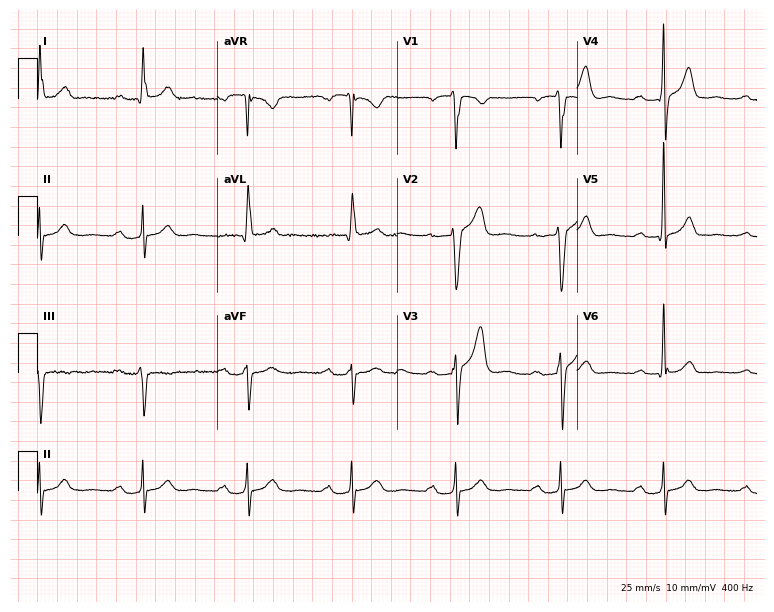
Electrocardiogram, a 64-year-old male. Interpretation includes first-degree AV block.